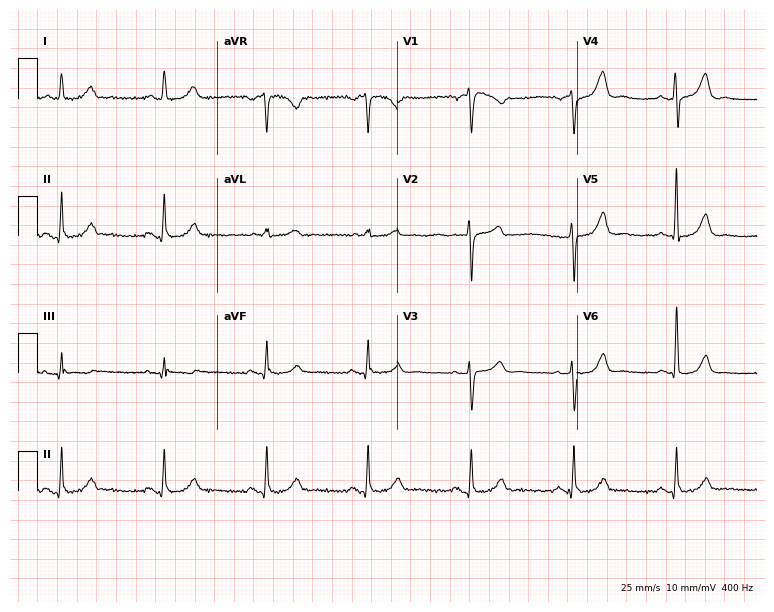
12-lead ECG from a man, 69 years old (7.3-second recording at 400 Hz). No first-degree AV block, right bundle branch block, left bundle branch block, sinus bradycardia, atrial fibrillation or sinus tachycardia recorded for this tracing. Only these six findings were labelled.